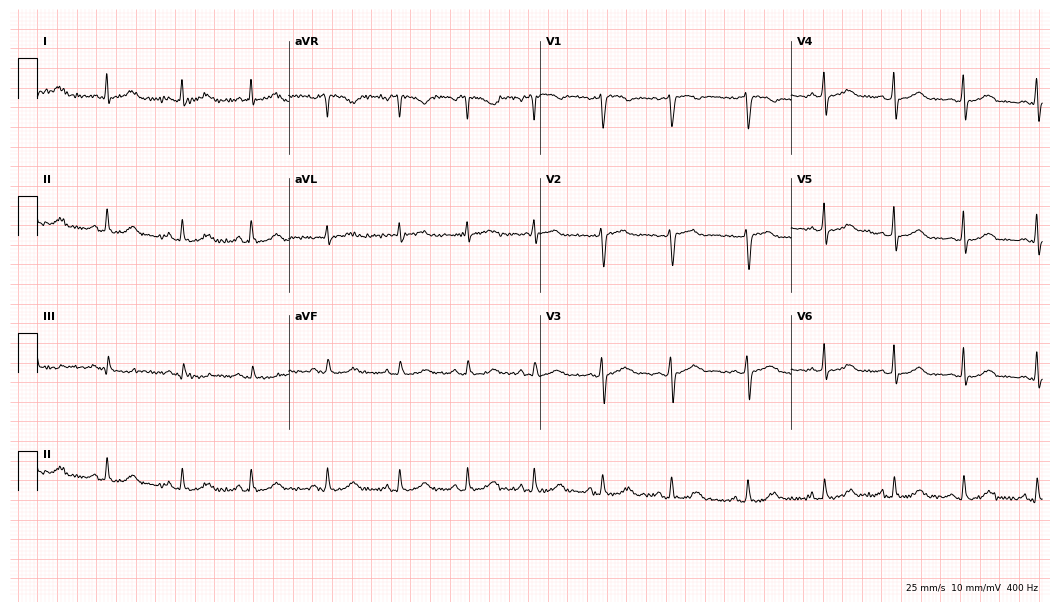
Standard 12-lead ECG recorded from a female patient, 31 years old (10.2-second recording at 400 Hz). Read as a normal ECG.